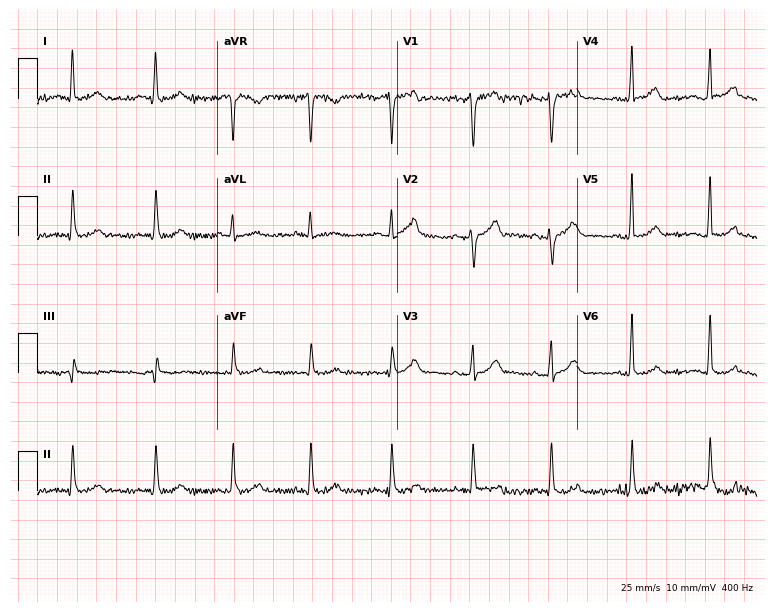
Standard 12-lead ECG recorded from a 25-year-old male patient (7.3-second recording at 400 Hz). None of these six findings is recorded: first-degree AV block, right bundle branch block, left bundle branch block, sinus bradycardia, atrial fibrillation, sinus tachycardia.